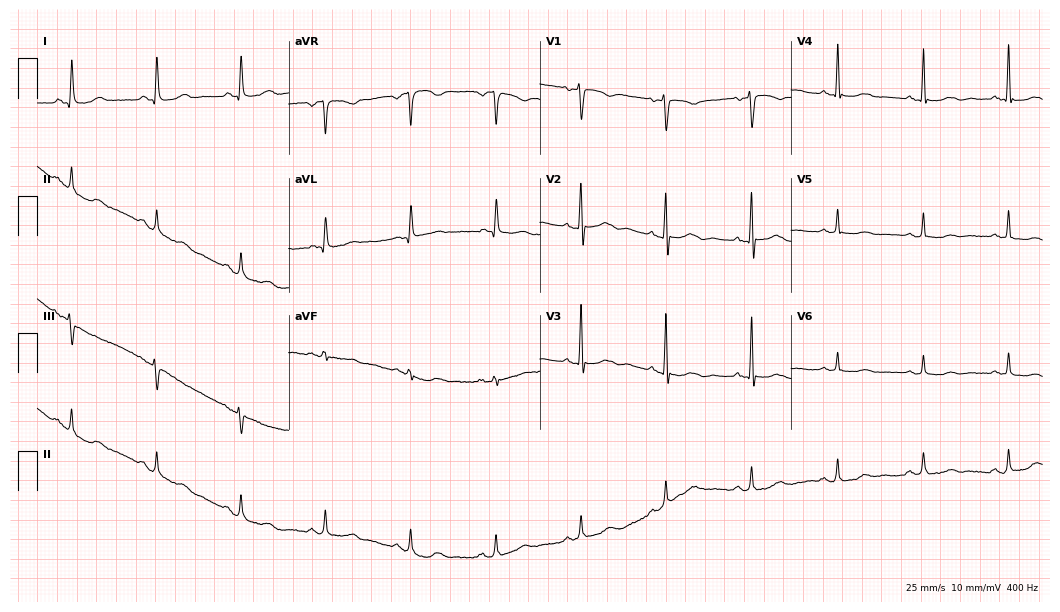
ECG (10.2-second recording at 400 Hz) — a female patient, 71 years old. Screened for six findings — first-degree AV block, right bundle branch block (RBBB), left bundle branch block (LBBB), sinus bradycardia, atrial fibrillation (AF), sinus tachycardia — none is recorded.